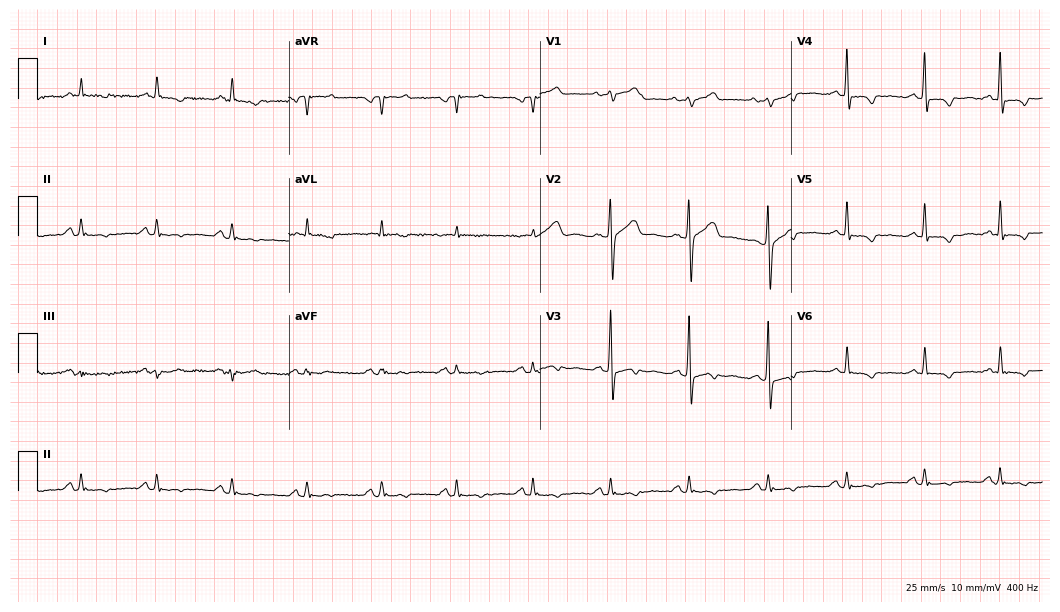
Electrocardiogram, a man, 52 years old. Of the six screened findings (first-degree AV block, right bundle branch block, left bundle branch block, sinus bradycardia, atrial fibrillation, sinus tachycardia), none is recorded. Other findings, if any, are not listed.